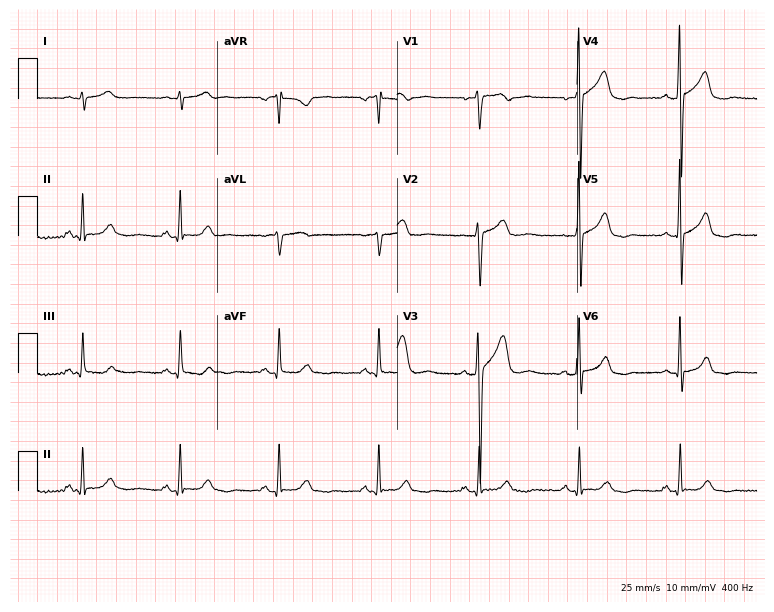
12-lead ECG from a male patient, 55 years old (7.3-second recording at 400 Hz). Recorded interpretation: within normal limits.